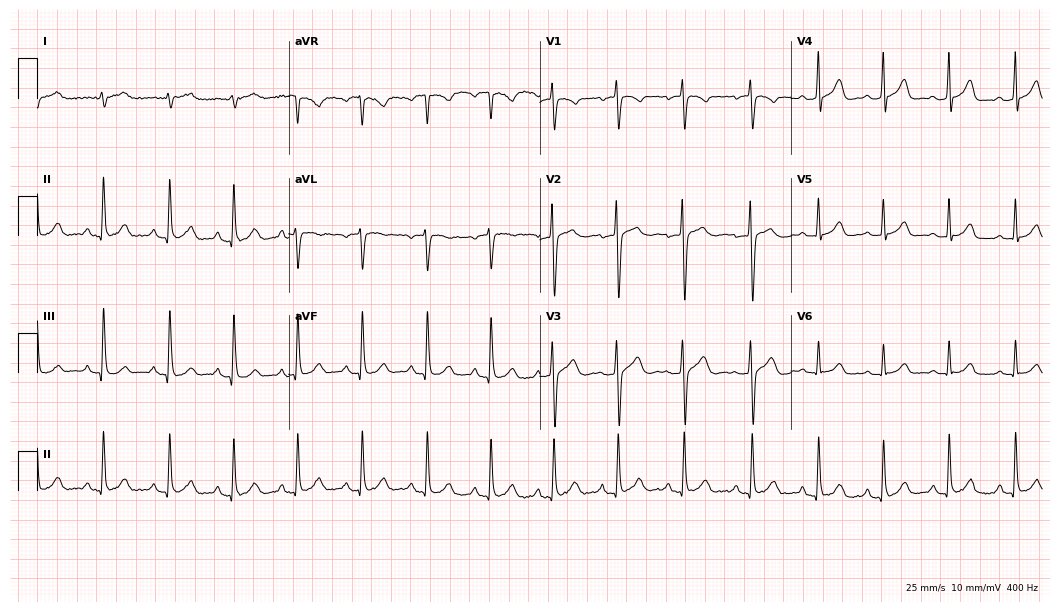
ECG — a woman, 19 years old. Screened for six findings — first-degree AV block, right bundle branch block, left bundle branch block, sinus bradycardia, atrial fibrillation, sinus tachycardia — none is recorded.